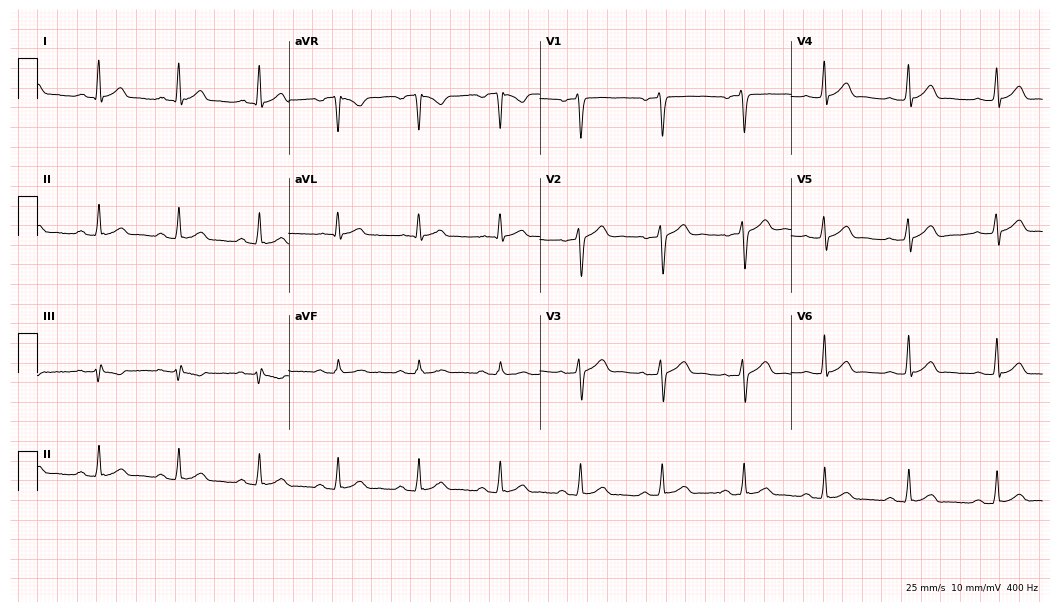
Electrocardiogram (10.2-second recording at 400 Hz), a 35-year-old male. Overall reading on record: normal ECG.